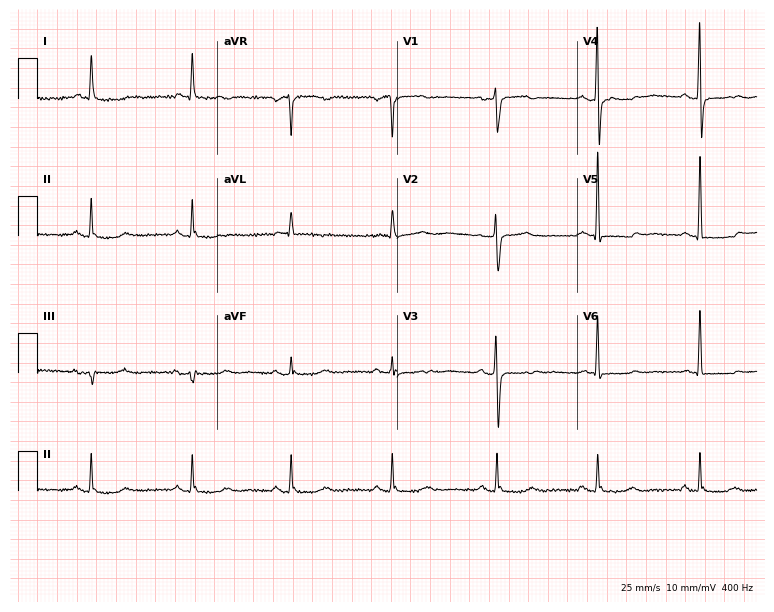
Standard 12-lead ECG recorded from a 77-year-old female (7.3-second recording at 400 Hz). None of these six findings is recorded: first-degree AV block, right bundle branch block, left bundle branch block, sinus bradycardia, atrial fibrillation, sinus tachycardia.